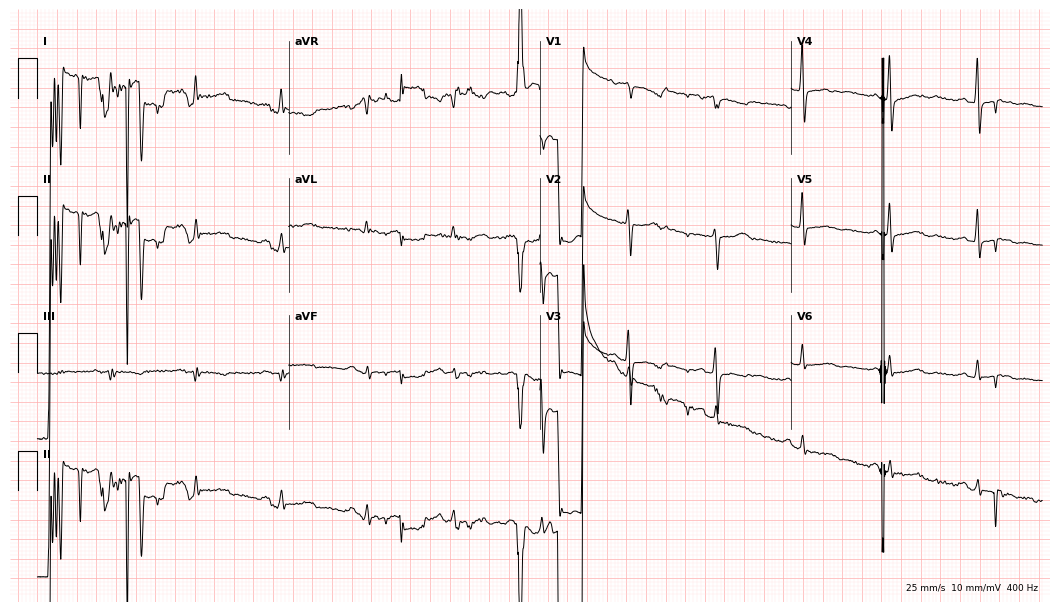
Standard 12-lead ECG recorded from a 59-year-old woman (10.2-second recording at 400 Hz). None of these six findings is recorded: first-degree AV block, right bundle branch block (RBBB), left bundle branch block (LBBB), sinus bradycardia, atrial fibrillation (AF), sinus tachycardia.